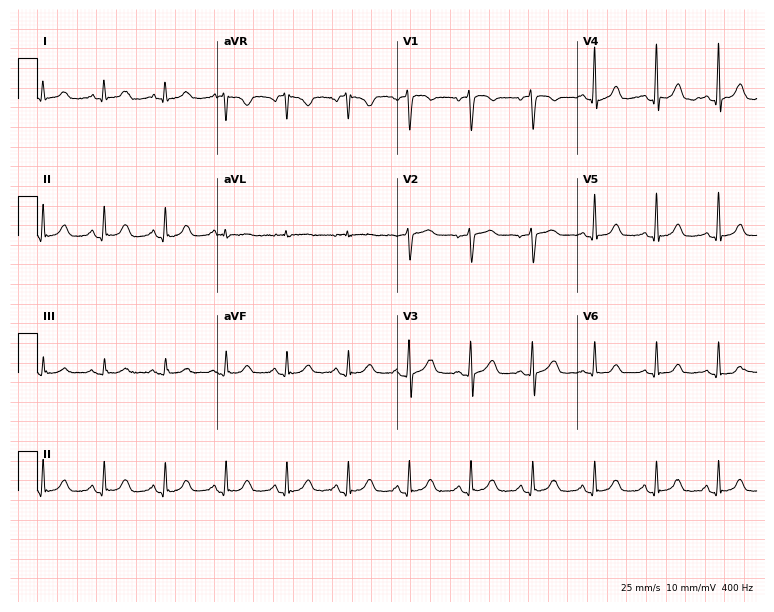
ECG — a 47-year-old female. Labelled as a normal ECG.